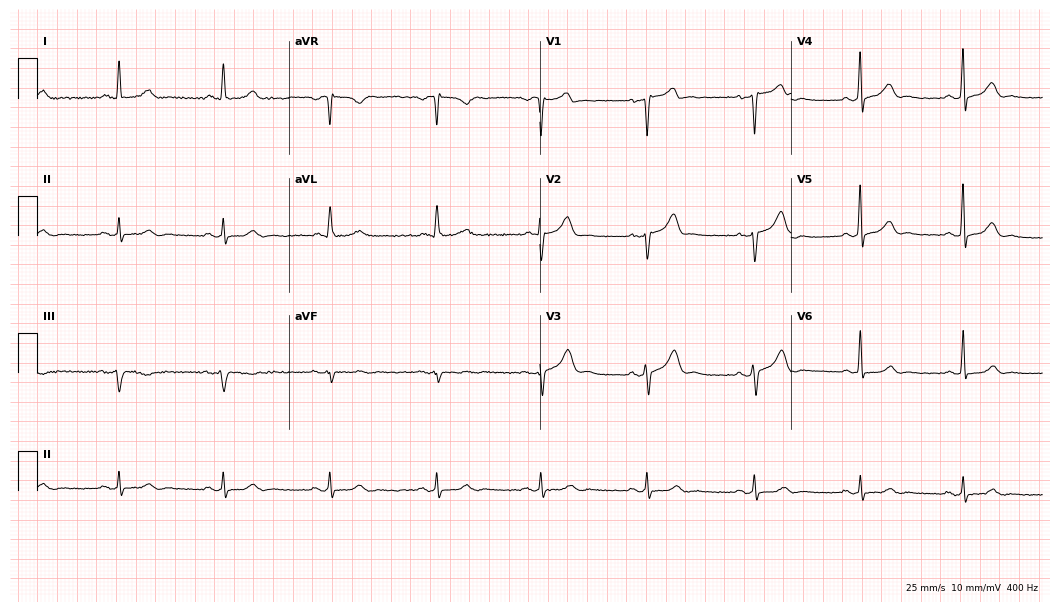
Standard 12-lead ECG recorded from a man, 63 years old (10.2-second recording at 400 Hz). Read as a normal ECG.